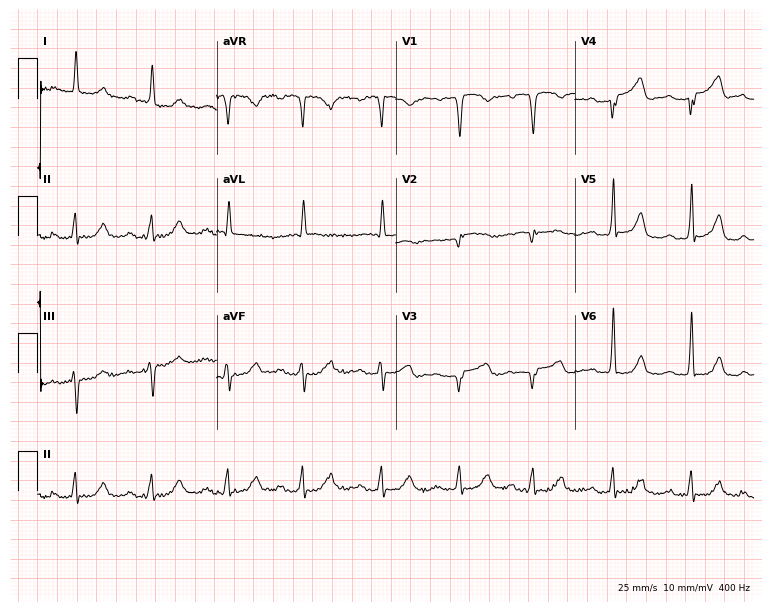
ECG (7.3-second recording at 400 Hz) — a 61-year-old female patient. Findings include first-degree AV block.